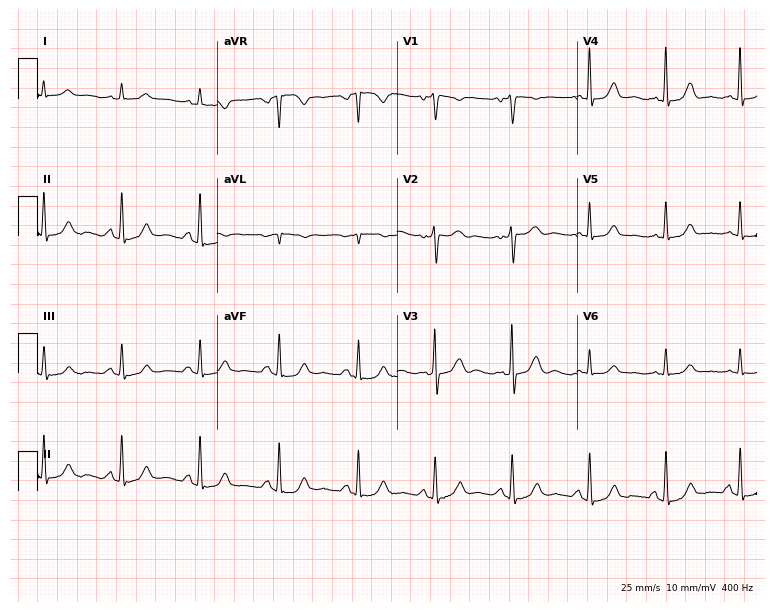
Resting 12-lead electrocardiogram. Patient: a female, 60 years old. None of these six findings is recorded: first-degree AV block, right bundle branch block, left bundle branch block, sinus bradycardia, atrial fibrillation, sinus tachycardia.